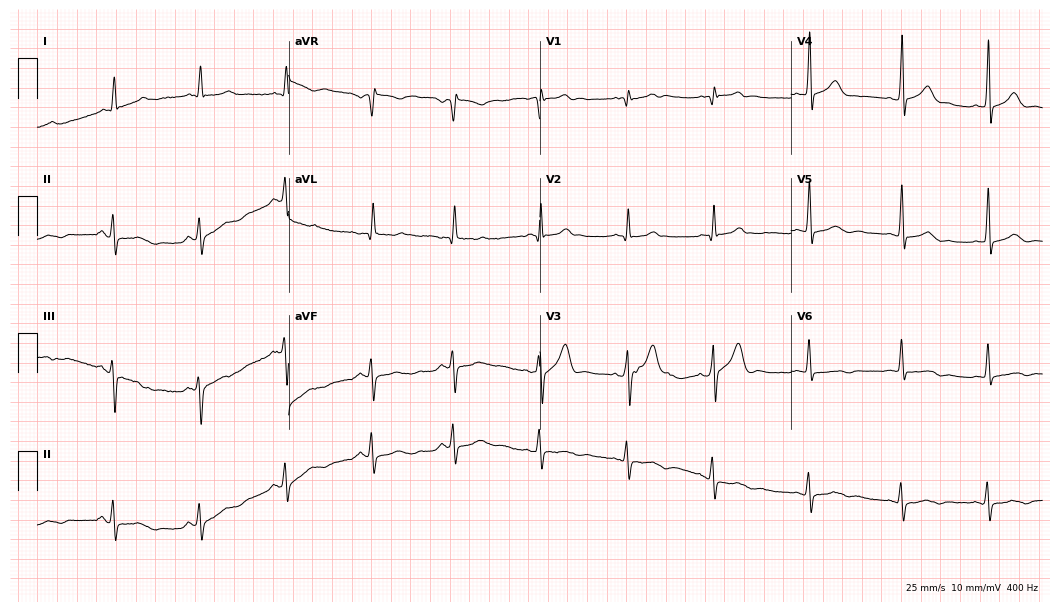
Resting 12-lead electrocardiogram. Patient: a man, 56 years old. Read as a normal ECG.